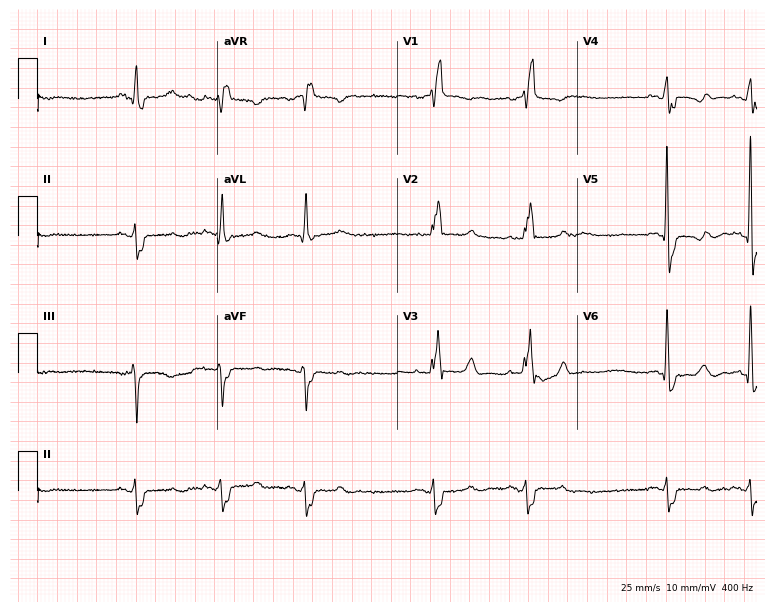
12-lead ECG from a 76-year-old woman (7.3-second recording at 400 Hz). Shows right bundle branch block (RBBB).